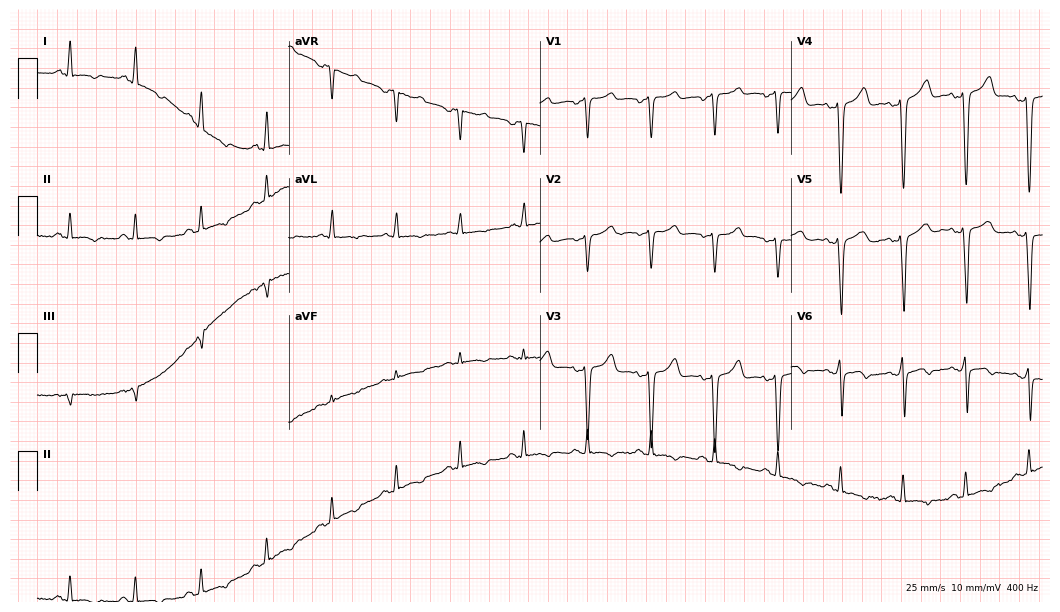
12-lead ECG (10.2-second recording at 400 Hz) from a female, 46 years old. Screened for six findings — first-degree AV block, right bundle branch block, left bundle branch block, sinus bradycardia, atrial fibrillation, sinus tachycardia — none is recorded.